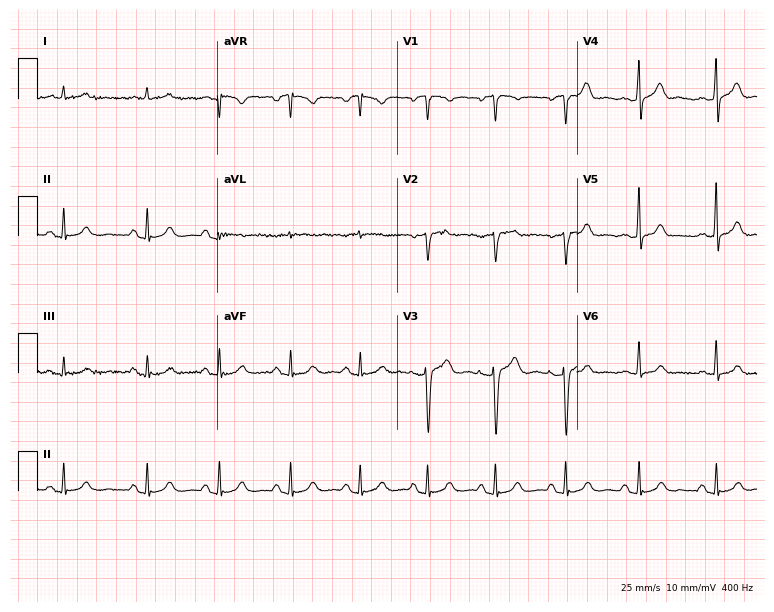
Electrocardiogram, a man, 59 years old. Overall reading on record: normal ECG.